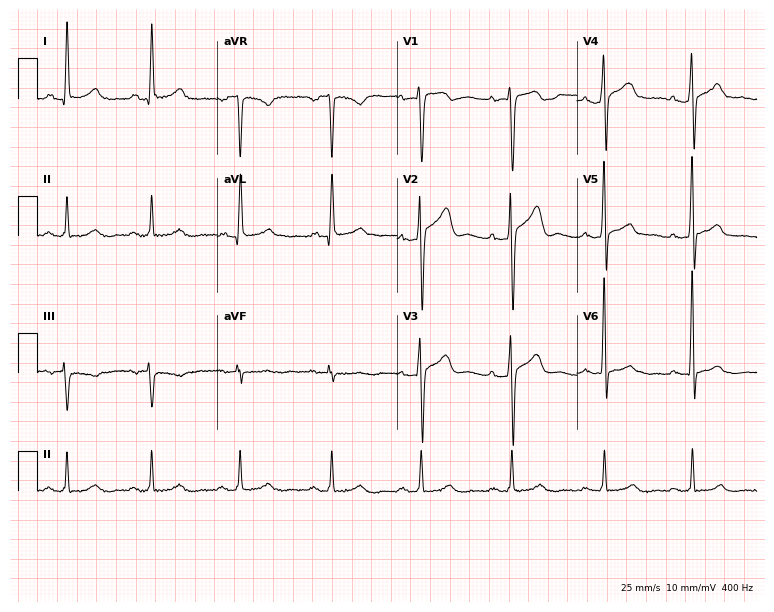
12-lead ECG from a male, 47 years old. Findings include first-degree AV block.